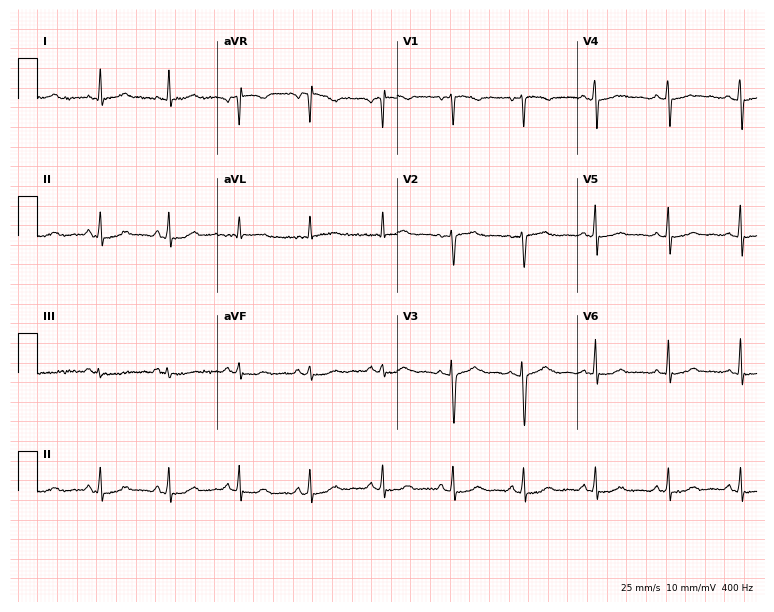
12-lead ECG from a female patient, 30 years old. Screened for six findings — first-degree AV block, right bundle branch block, left bundle branch block, sinus bradycardia, atrial fibrillation, sinus tachycardia — none is recorded. Findings outside these six are not listed.